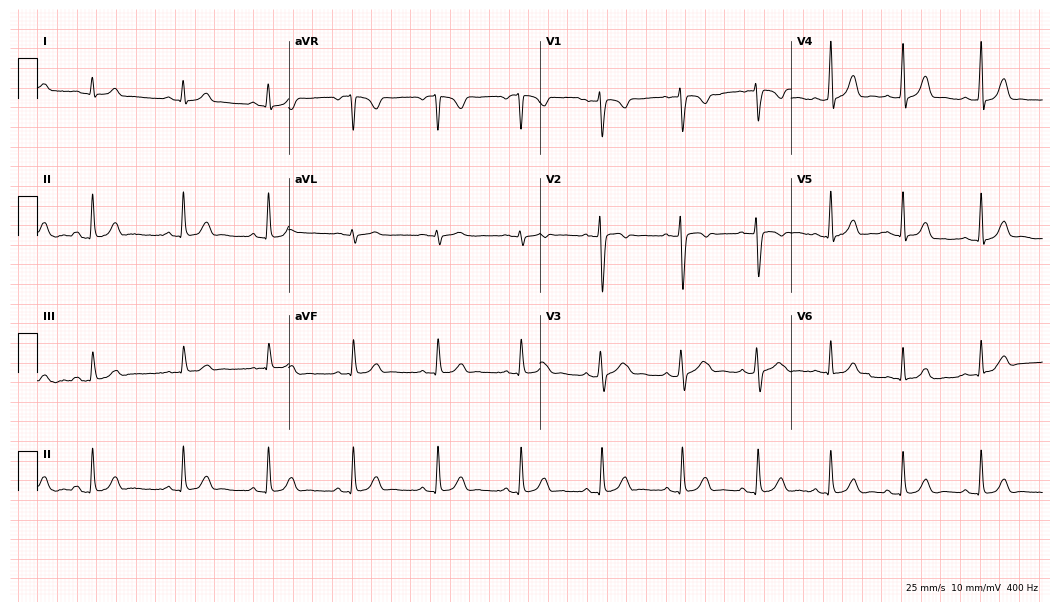
Standard 12-lead ECG recorded from a 19-year-old woman (10.2-second recording at 400 Hz). Read as a normal ECG.